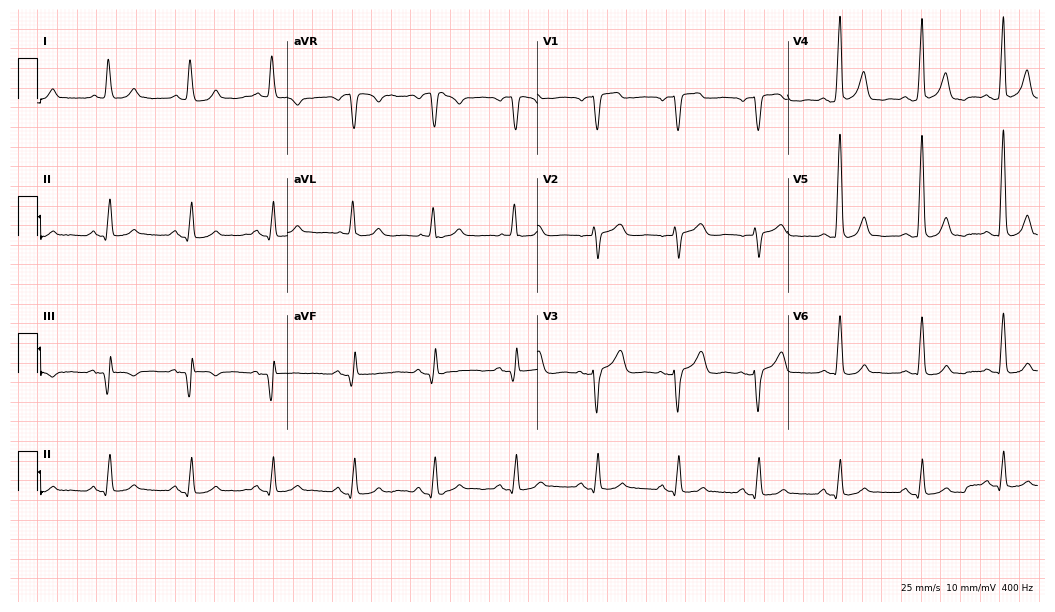
12-lead ECG from a woman, 59 years old. Screened for six findings — first-degree AV block, right bundle branch block (RBBB), left bundle branch block (LBBB), sinus bradycardia, atrial fibrillation (AF), sinus tachycardia — none is recorded. Other findings, if any, are not listed.